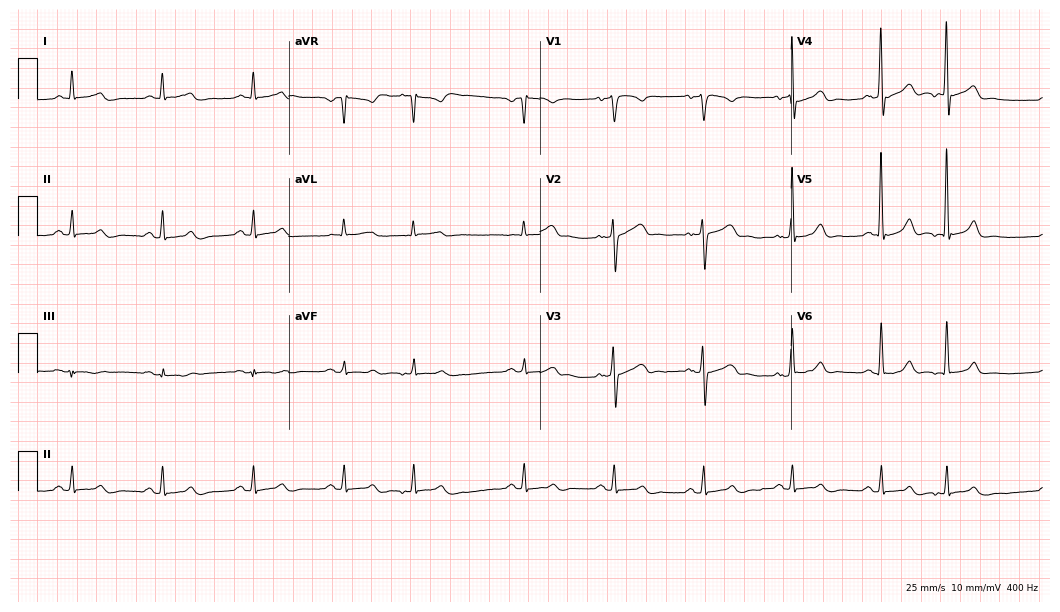
12-lead ECG from a 69-year-old man. Recorded interpretation: within normal limits.